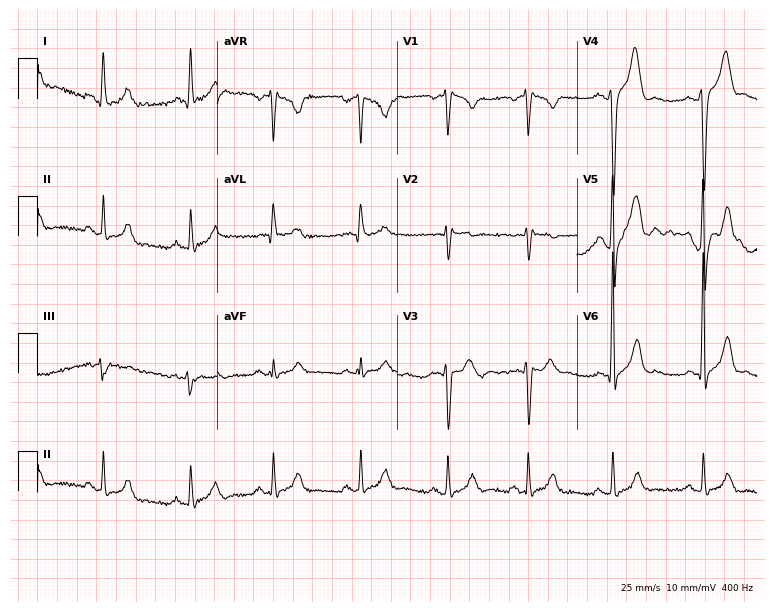
Standard 12-lead ECG recorded from a male, 25 years old. Read as a normal ECG.